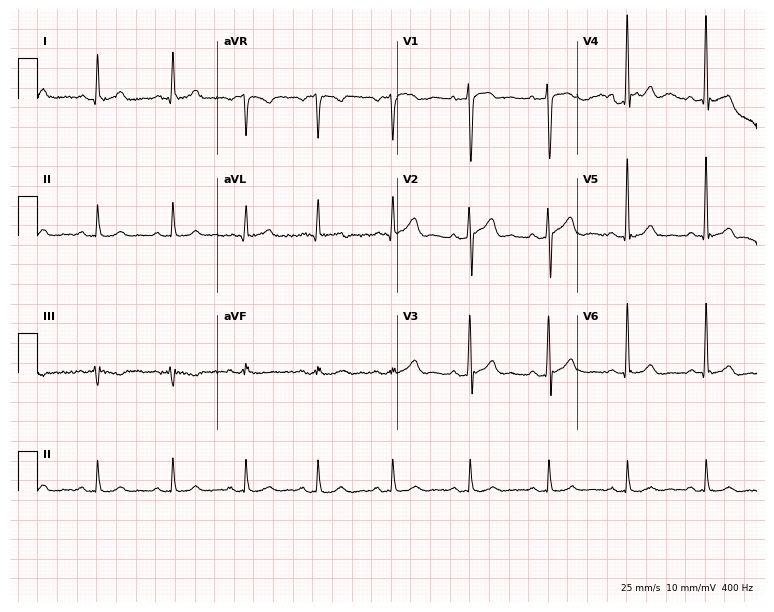
Electrocardiogram, a man, 44 years old. Overall reading on record: normal ECG.